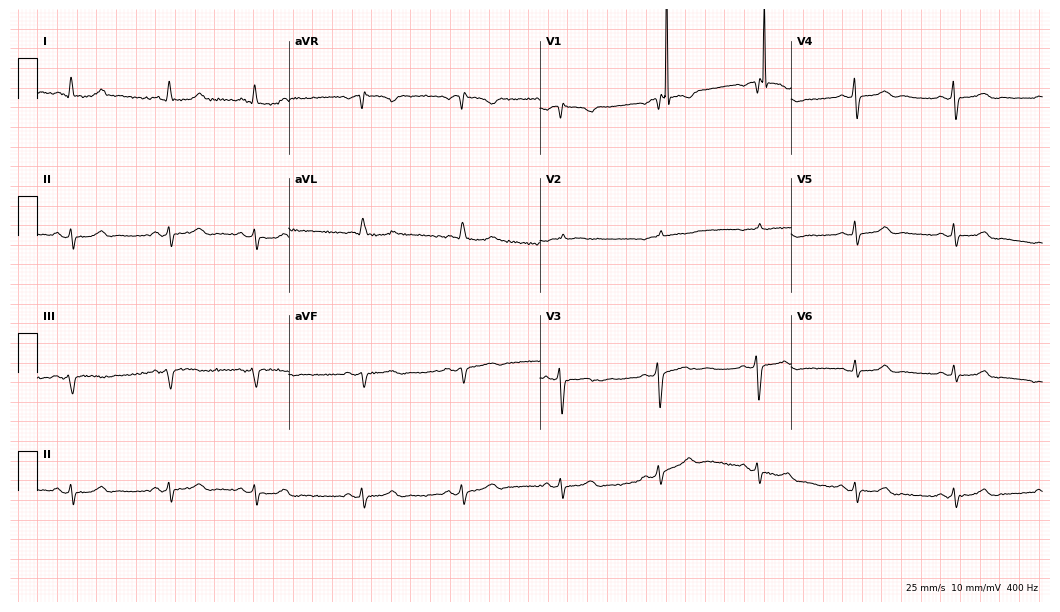
Resting 12-lead electrocardiogram (10.2-second recording at 400 Hz). Patient: a 75-year-old woman. None of these six findings is recorded: first-degree AV block, right bundle branch block, left bundle branch block, sinus bradycardia, atrial fibrillation, sinus tachycardia. Other findings, if any, are not listed.